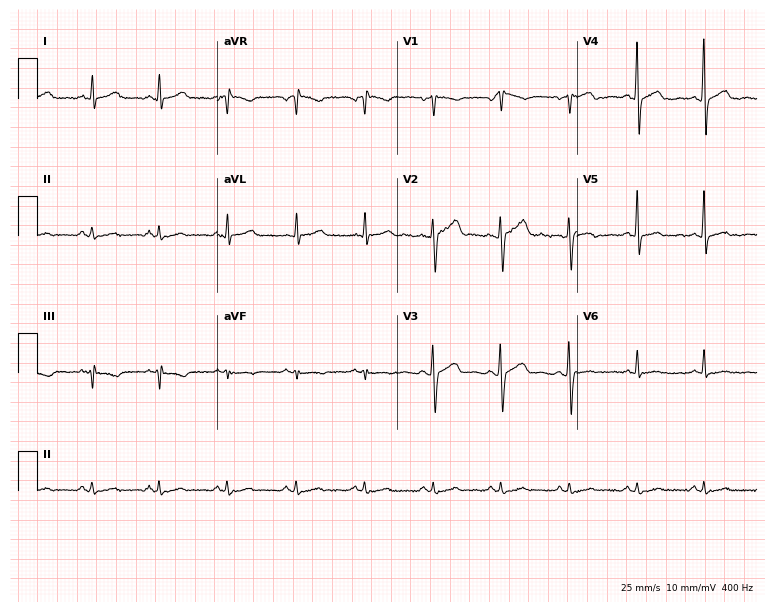
Standard 12-lead ECG recorded from a male patient, 42 years old (7.3-second recording at 400 Hz). None of these six findings is recorded: first-degree AV block, right bundle branch block (RBBB), left bundle branch block (LBBB), sinus bradycardia, atrial fibrillation (AF), sinus tachycardia.